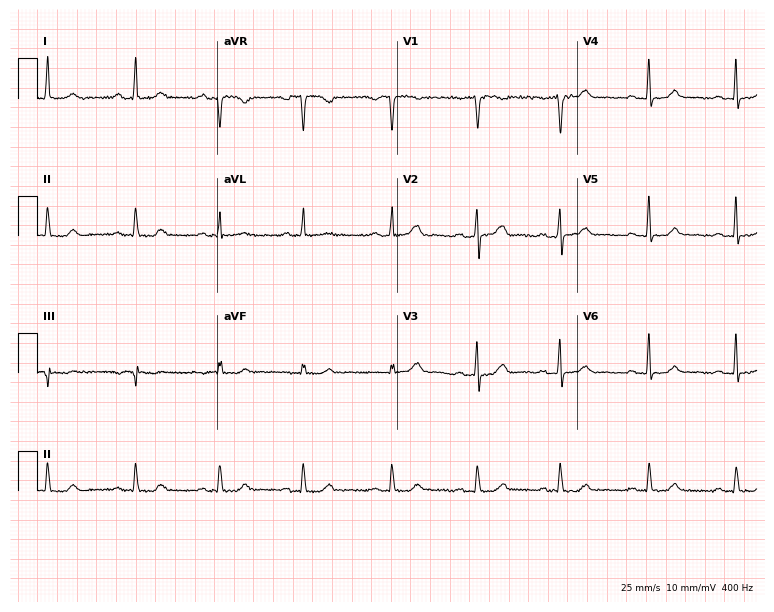
12-lead ECG from a female, 50 years old. Labelled as a normal ECG.